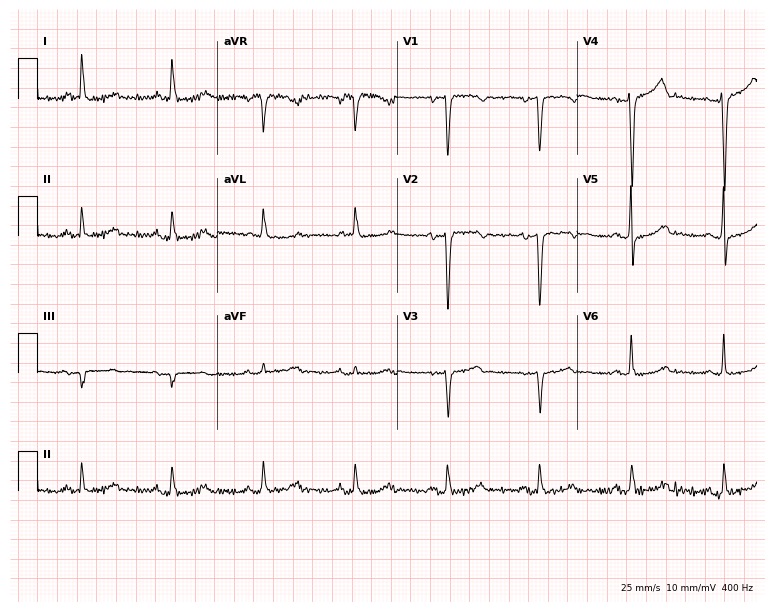
Standard 12-lead ECG recorded from a woman, 53 years old. Read as a normal ECG.